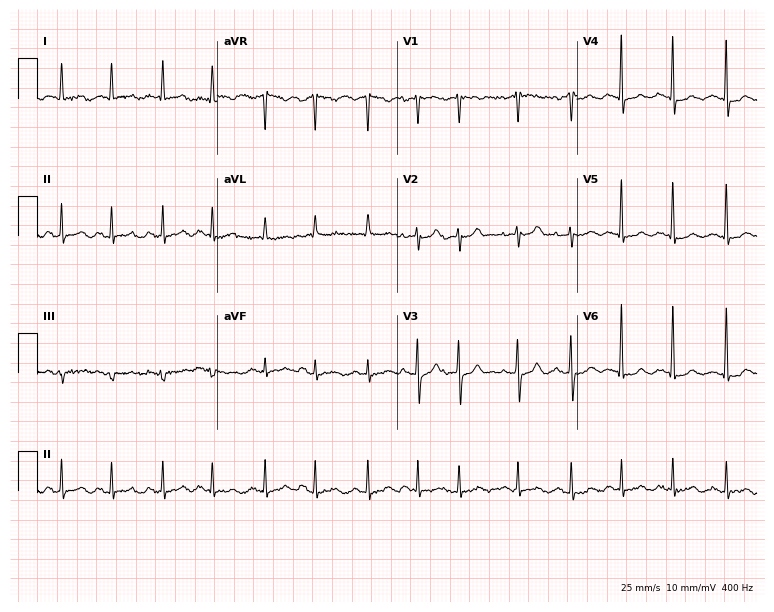
12-lead ECG from an 85-year-old female patient. Findings include sinus tachycardia (a sinus rate of 100 beats per minute or more).